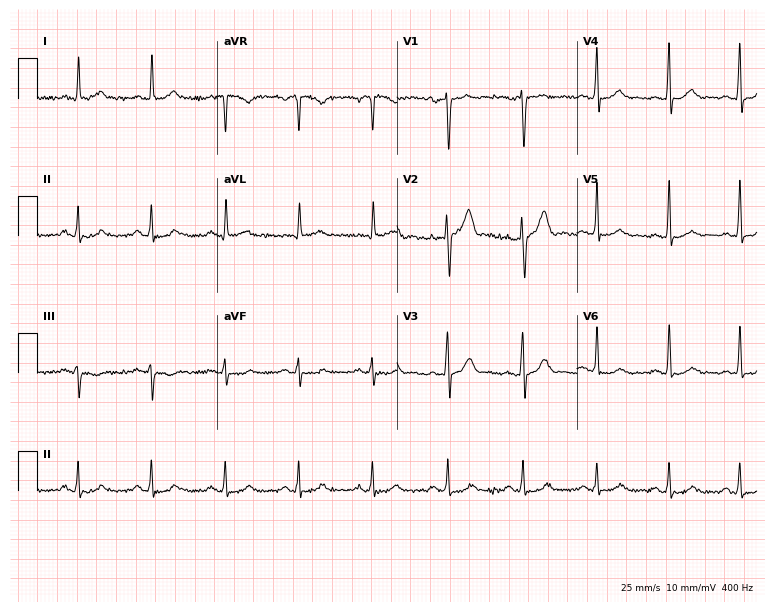
ECG — a 36-year-old man. Labelled as a normal ECG.